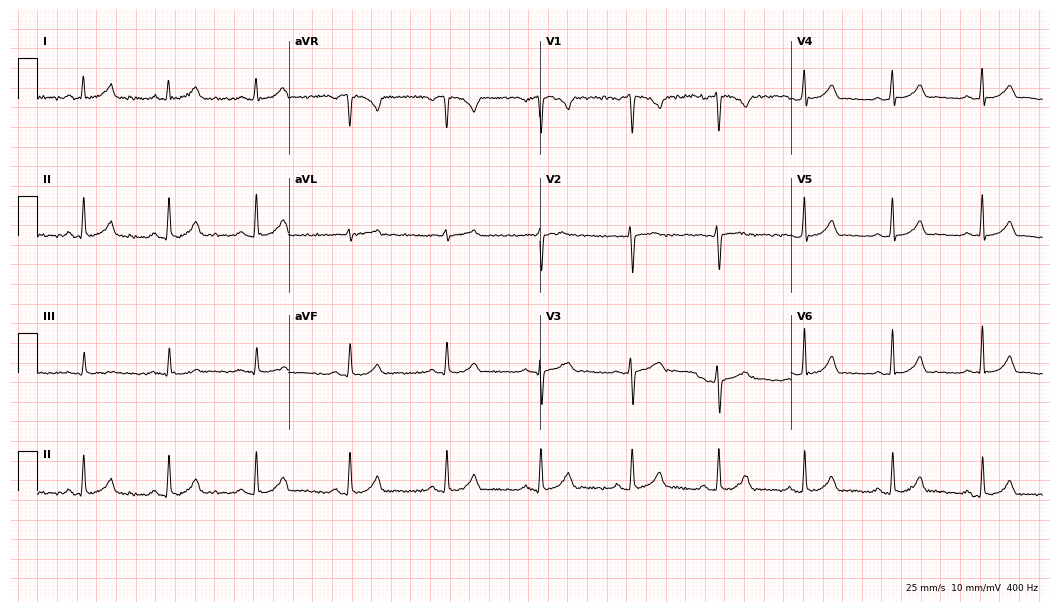
Electrocardiogram, a woman, 37 years old. Of the six screened findings (first-degree AV block, right bundle branch block (RBBB), left bundle branch block (LBBB), sinus bradycardia, atrial fibrillation (AF), sinus tachycardia), none is recorded. Findings outside these six are not listed.